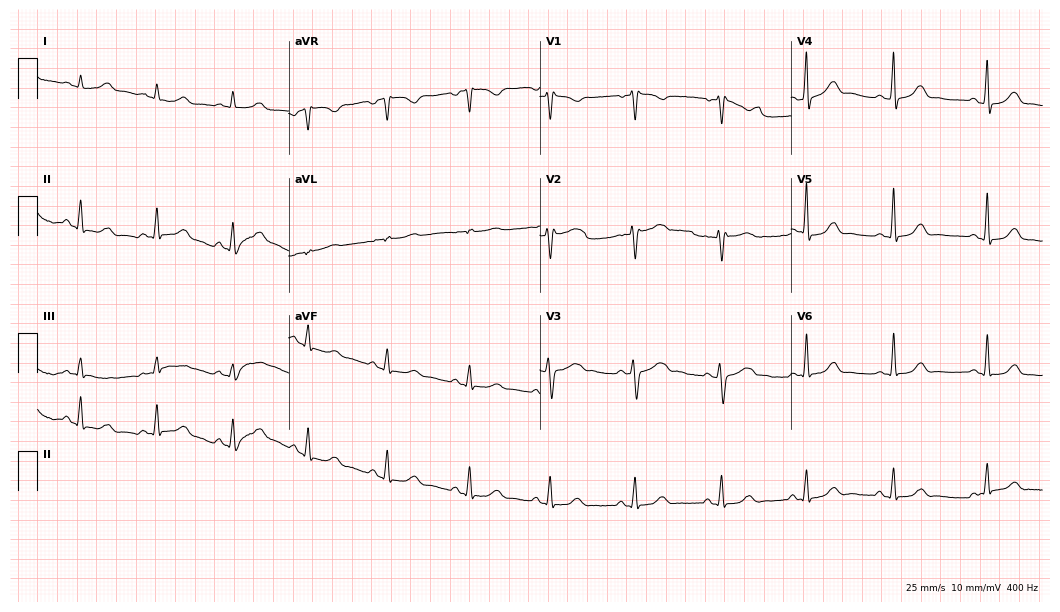
Electrocardiogram, a female, 50 years old. Of the six screened findings (first-degree AV block, right bundle branch block, left bundle branch block, sinus bradycardia, atrial fibrillation, sinus tachycardia), none is recorded.